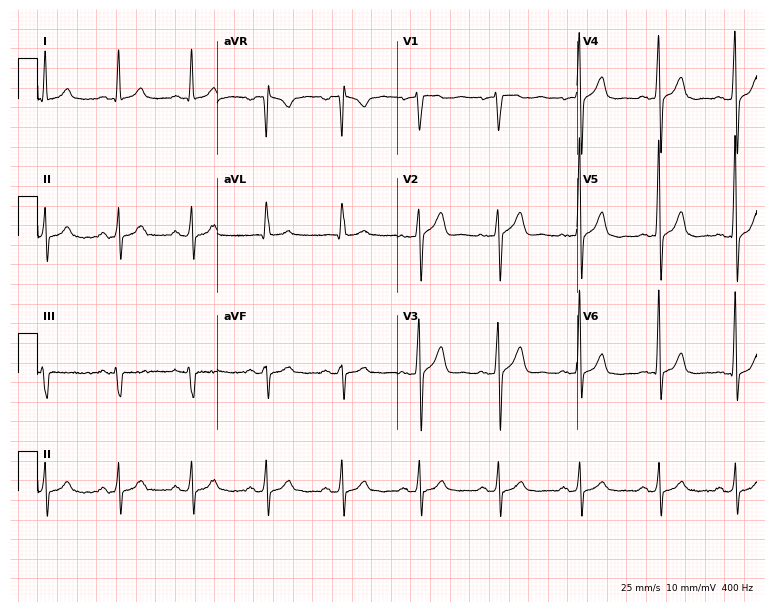
ECG (7.3-second recording at 400 Hz) — a man, 35 years old. Screened for six findings — first-degree AV block, right bundle branch block, left bundle branch block, sinus bradycardia, atrial fibrillation, sinus tachycardia — none is recorded. Other findings, if any, are not listed.